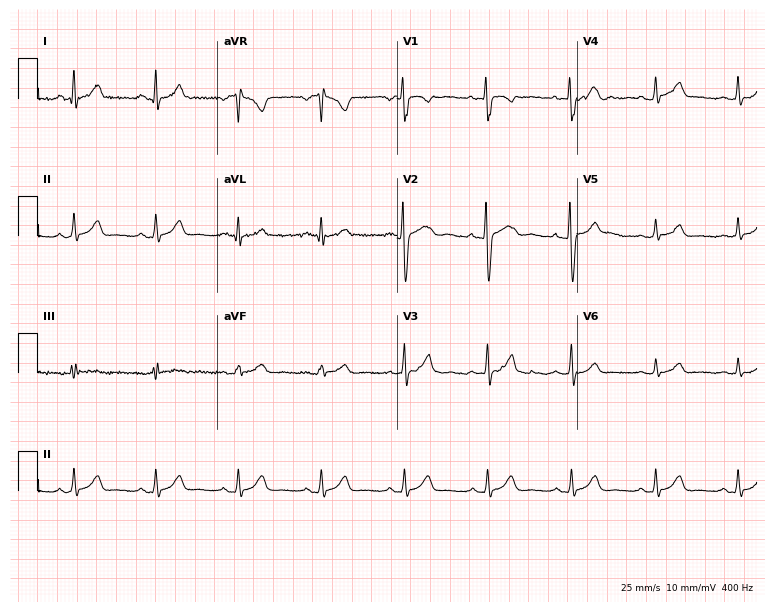
ECG (7.3-second recording at 400 Hz) — a female patient, 19 years old. Labelled as a normal ECG.